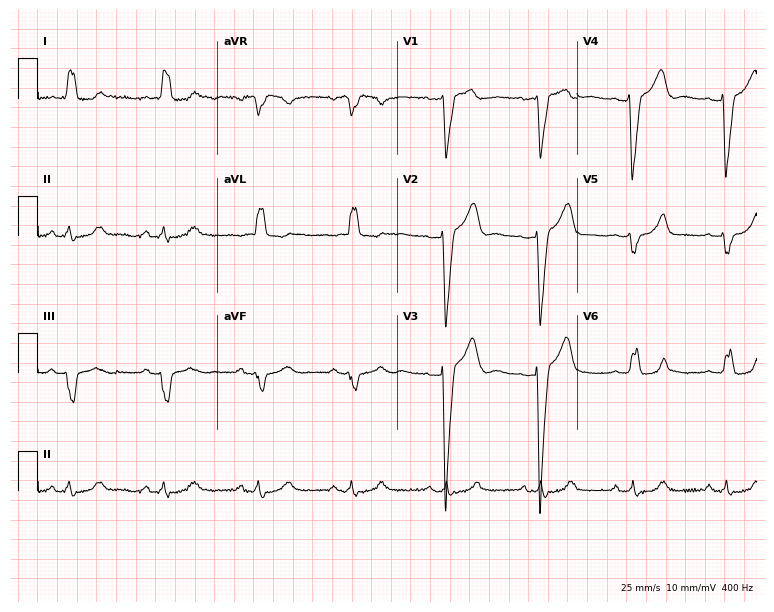
12-lead ECG from a female patient, 42 years old. Shows left bundle branch block (LBBB).